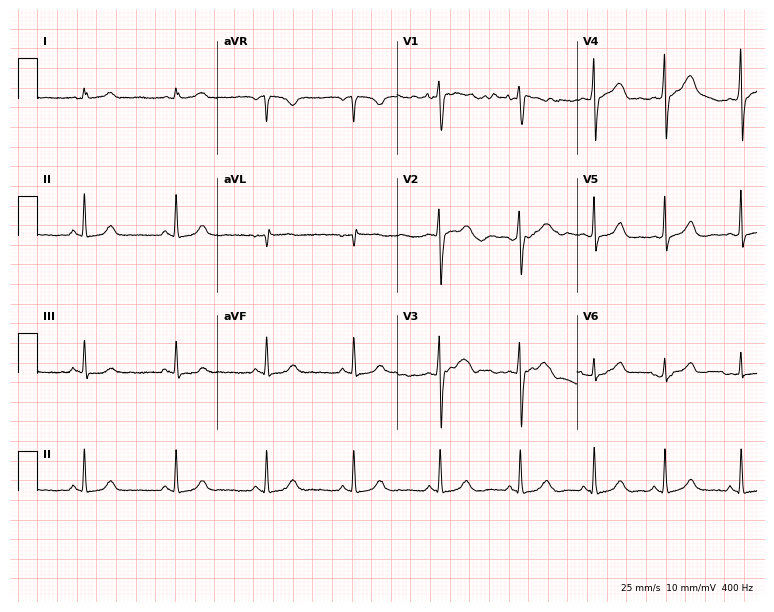
Standard 12-lead ECG recorded from a 24-year-old woman (7.3-second recording at 400 Hz). Read as a normal ECG.